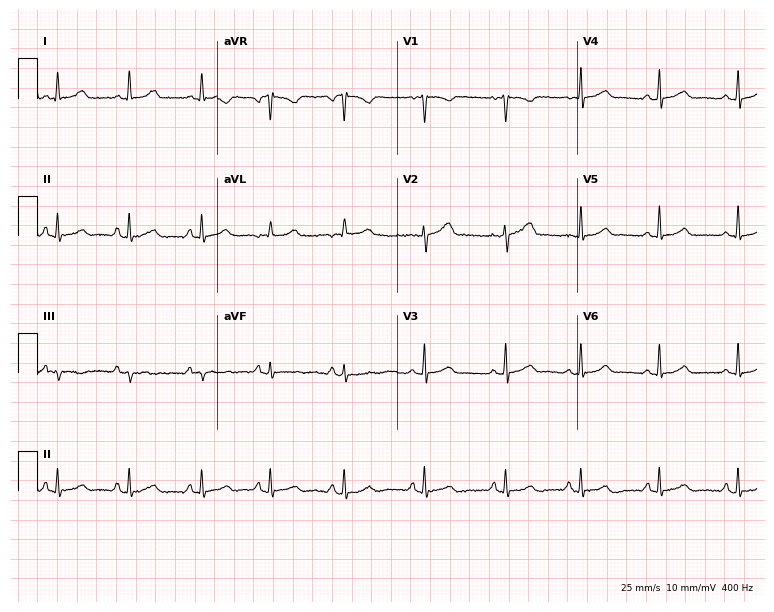
12-lead ECG from a 25-year-old woman. Recorded interpretation: within normal limits.